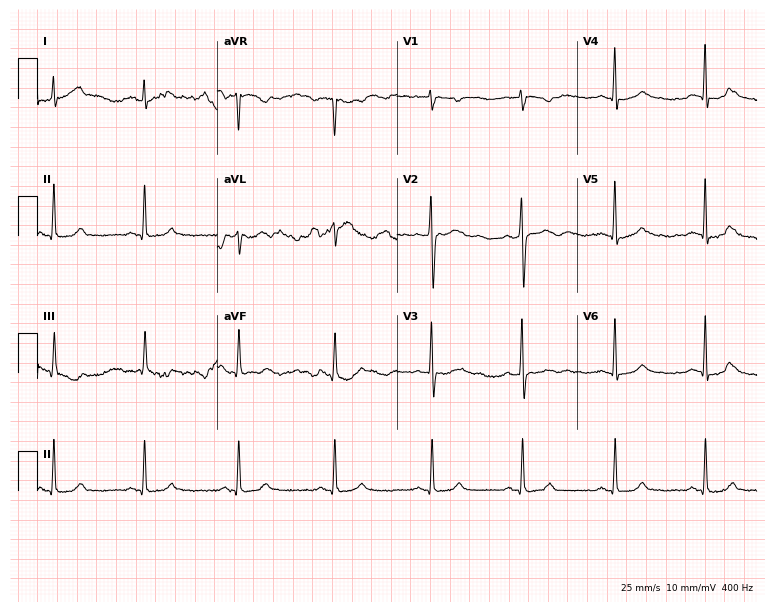
ECG — a female, 57 years old. Screened for six findings — first-degree AV block, right bundle branch block (RBBB), left bundle branch block (LBBB), sinus bradycardia, atrial fibrillation (AF), sinus tachycardia — none is recorded. Only these six findings were labelled.